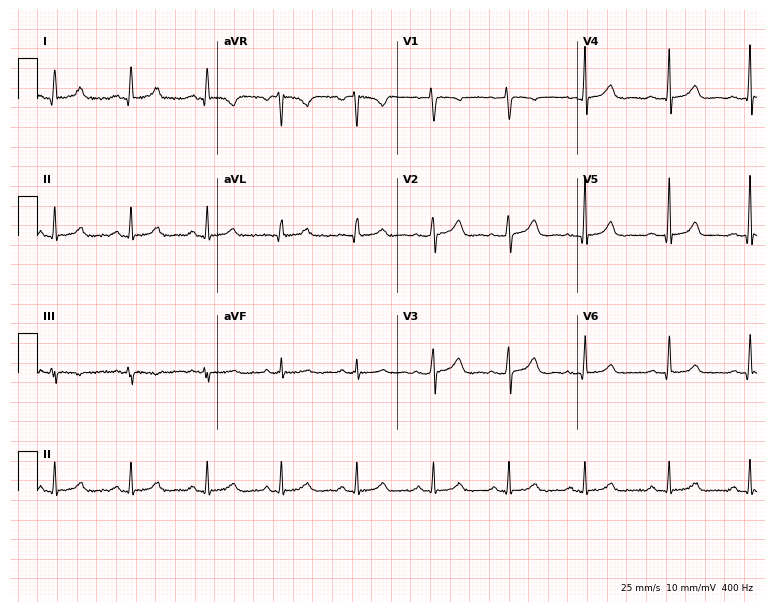
ECG (7.3-second recording at 400 Hz) — a female, 37 years old. Labelled as a normal ECG.